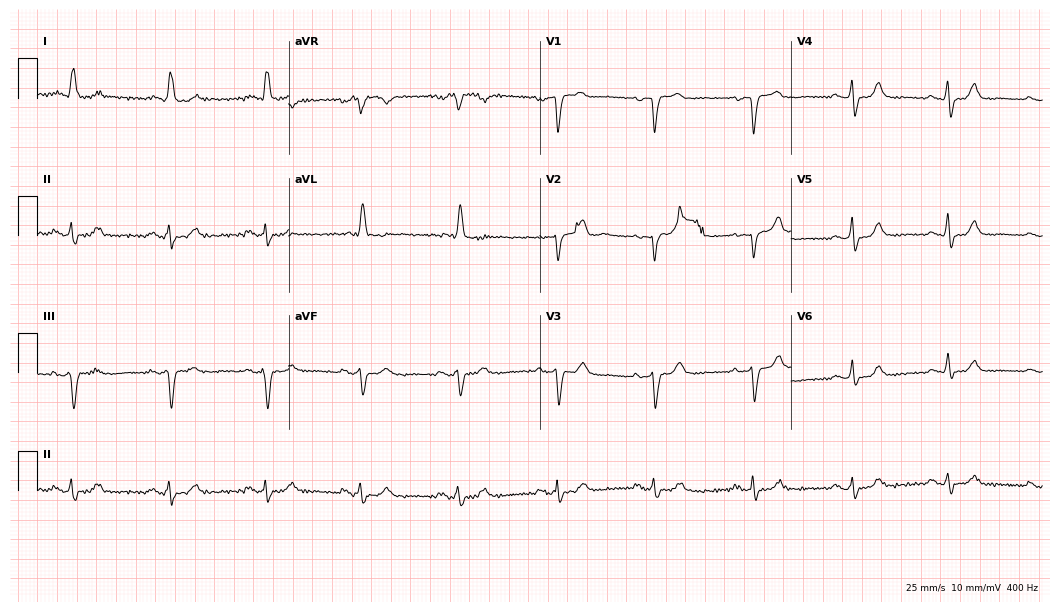
12-lead ECG from a 72-year-old woman. Shows left bundle branch block (LBBB).